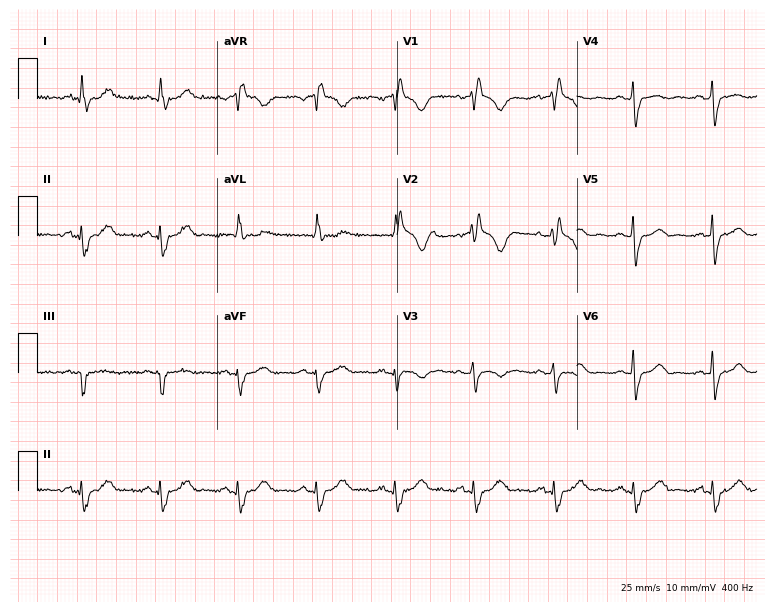
12-lead ECG (7.3-second recording at 400 Hz) from a female, 40 years old. Findings include right bundle branch block.